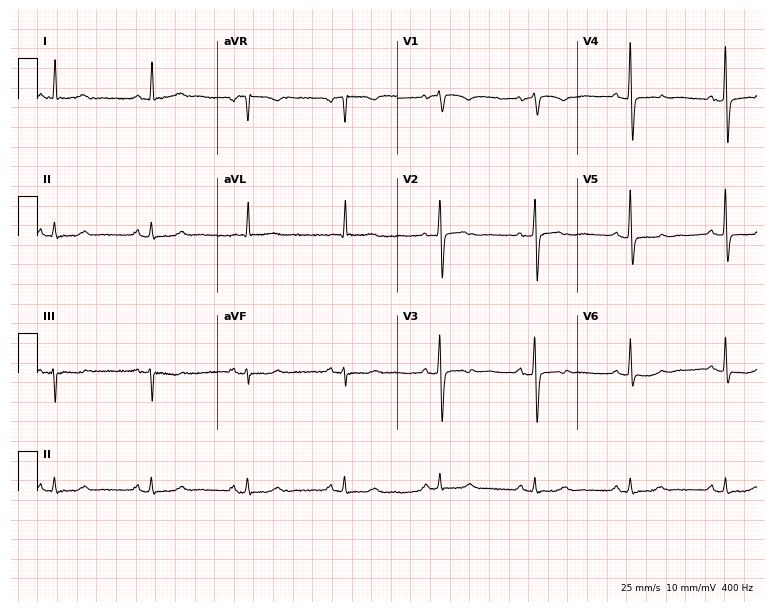
12-lead ECG from an 81-year-old female (7.3-second recording at 400 Hz). No first-degree AV block, right bundle branch block (RBBB), left bundle branch block (LBBB), sinus bradycardia, atrial fibrillation (AF) or sinus tachycardia recorded for this tracing. Findings outside these six are not listed.